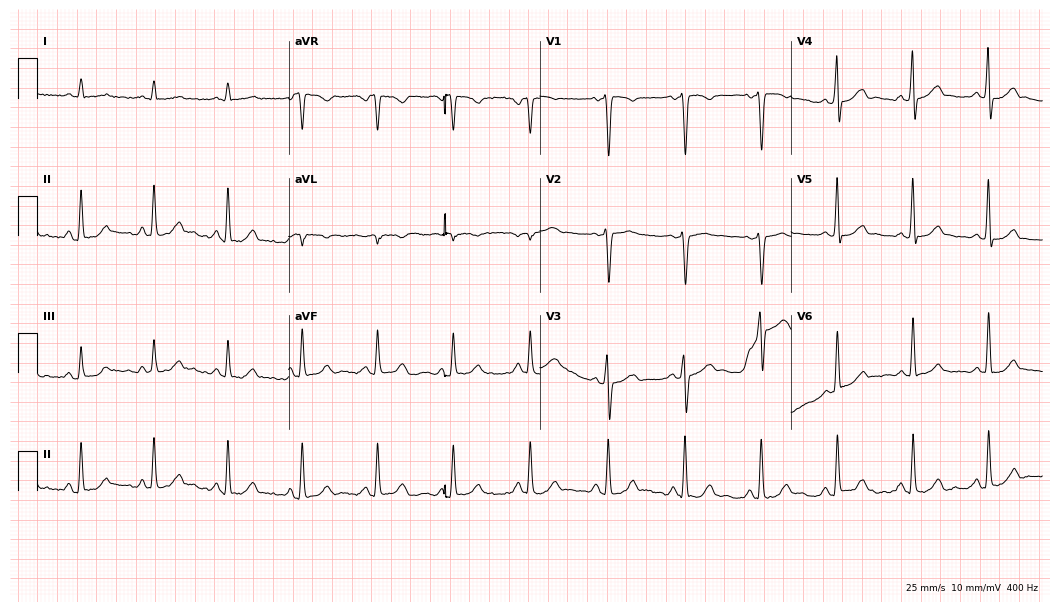
Electrocardiogram (10.2-second recording at 400 Hz), a 55-year-old woman. Of the six screened findings (first-degree AV block, right bundle branch block (RBBB), left bundle branch block (LBBB), sinus bradycardia, atrial fibrillation (AF), sinus tachycardia), none is recorded. Only these six findings were labelled.